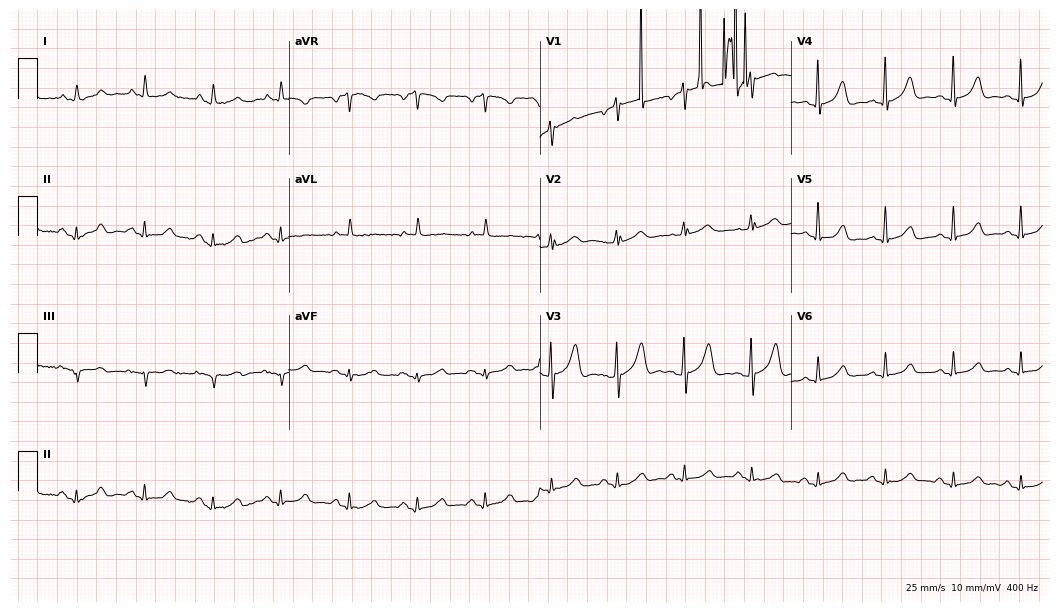
ECG — an 83-year-old female. Labelled as a normal ECG.